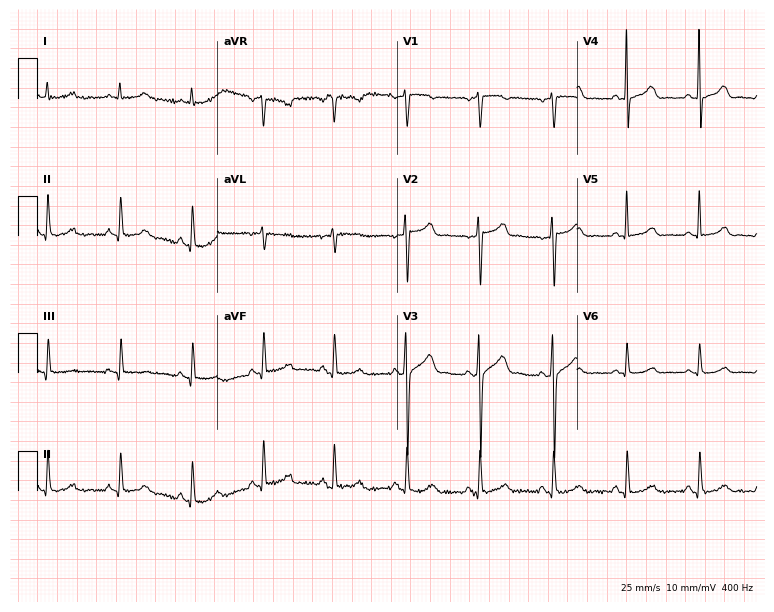
Standard 12-lead ECG recorded from a 69-year-old female patient. Read as a normal ECG.